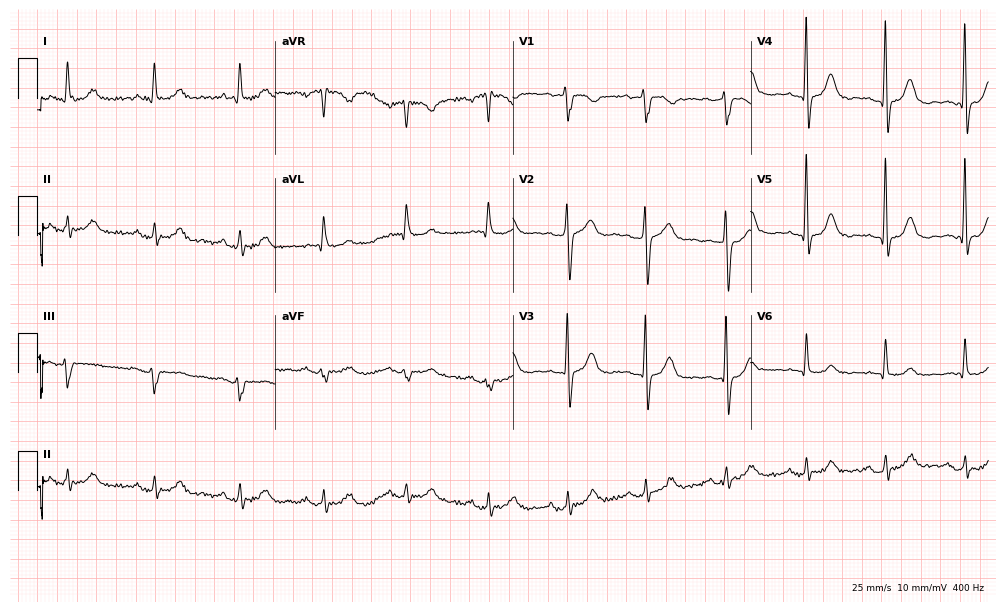
12-lead ECG (9.7-second recording at 400 Hz) from a 65-year-old female patient. Screened for six findings — first-degree AV block, right bundle branch block, left bundle branch block, sinus bradycardia, atrial fibrillation, sinus tachycardia — none is recorded. Other findings, if any, are not listed.